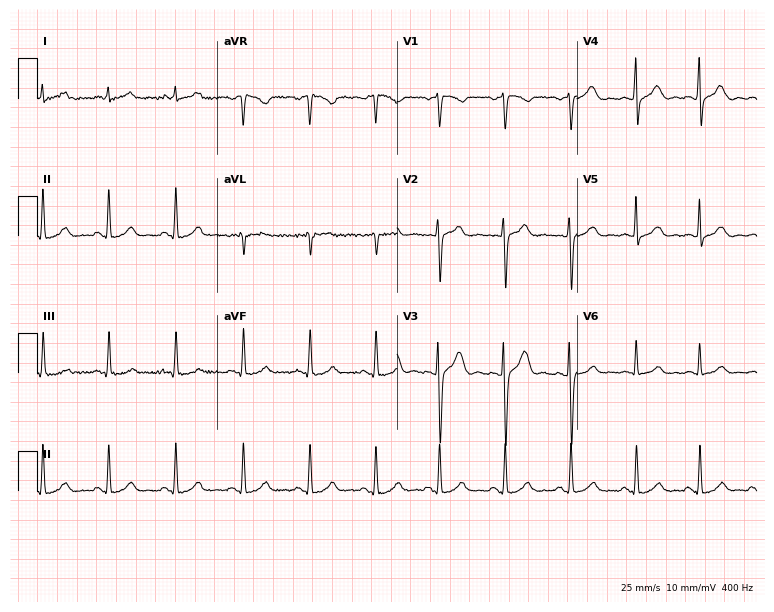
Standard 12-lead ECG recorded from a 47-year-old male. Read as a normal ECG.